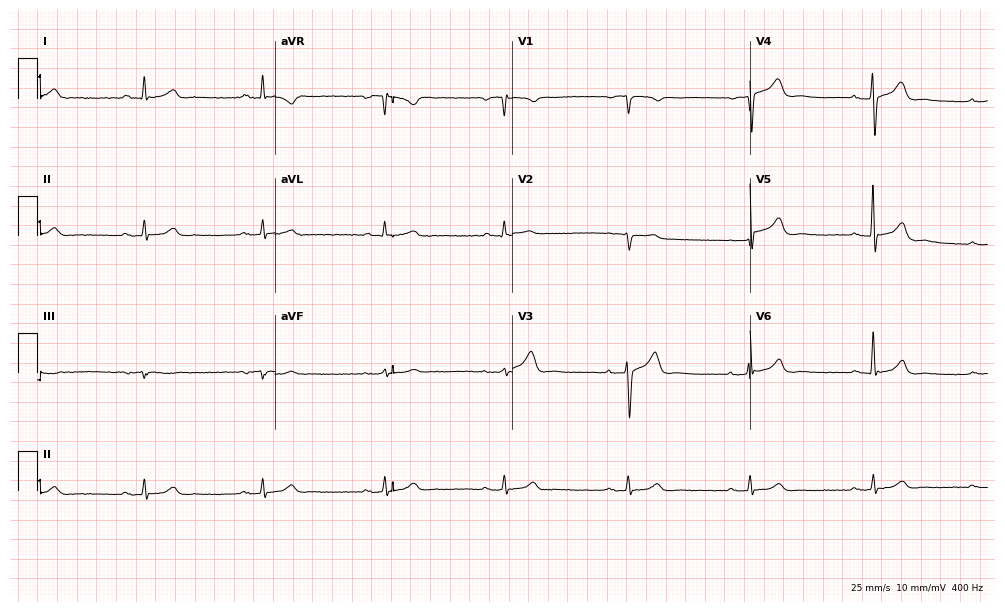
Resting 12-lead electrocardiogram. Patient: a male, 72 years old. The tracing shows sinus bradycardia (a sinus rate of 50 beats per minute or less).